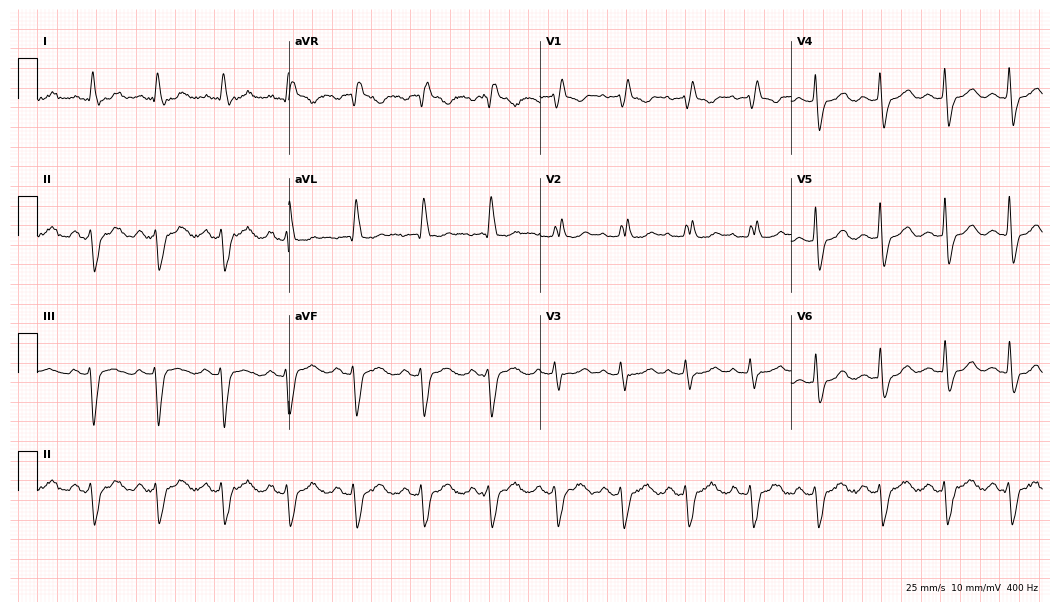
ECG — a female, 70 years old. Findings include right bundle branch block.